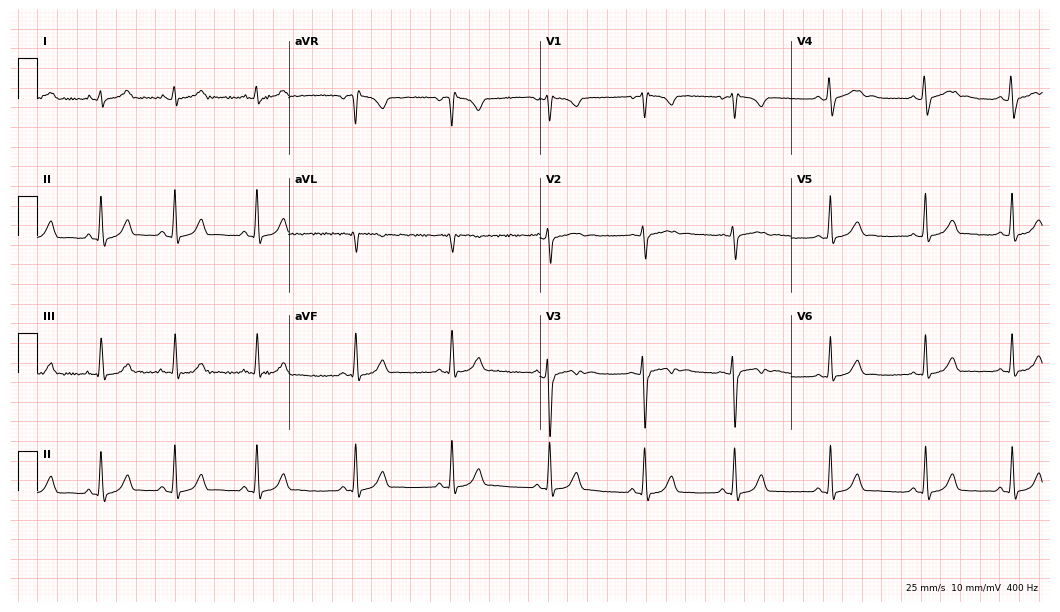
Resting 12-lead electrocardiogram (10.2-second recording at 400 Hz). Patient: a woman, 24 years old. None of these six findings is recorded: first-degree AV block, right bundle branch block (RBBB), left bundle branch block (LBBB), sinus bradycardia, atrial fibrillation (AF), sinus tachycardia. Other findings, if any, are not listed.